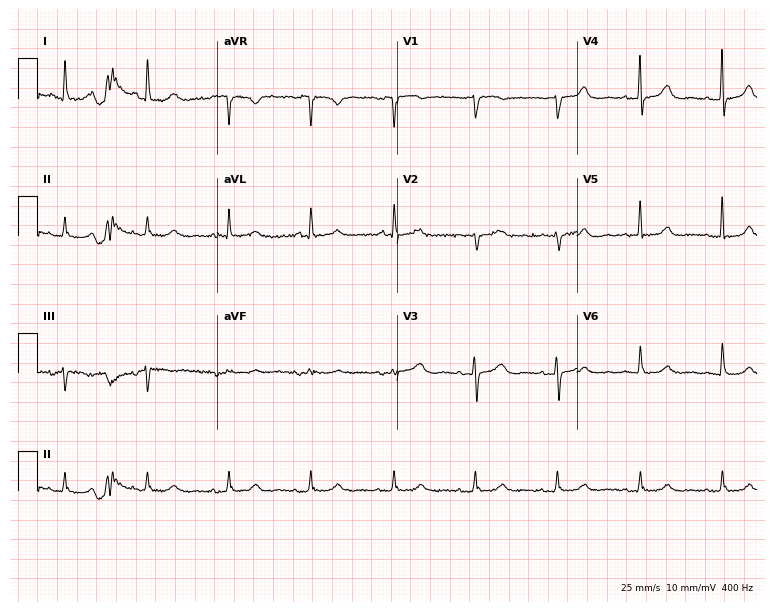
Standard 12-lead ECG recorded from a female patient, 83 years old. None of these six findings is recorded: first-degree AV block, right bundle branch block (RBBB), left bundle branch block (LBBB), sinus bradycardia, atrial fibrillation (AF), sinus tachycardia. Other findings, if any, are not listed.